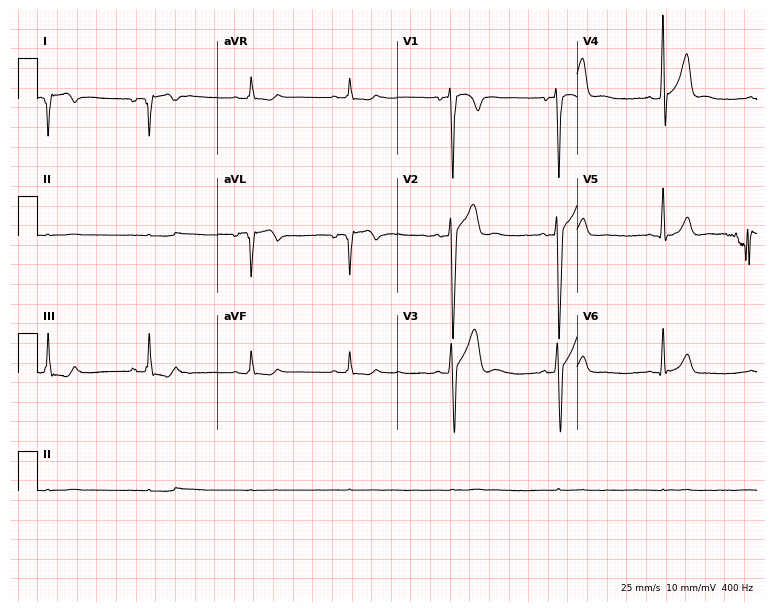
12-lead ECG from a man, 46 years old. No first-degree AV block, right bundle branch block, left bundle branch block, sinus bradycardia, atrial fibrillation or sinus tachycardia recorded for this tracing.